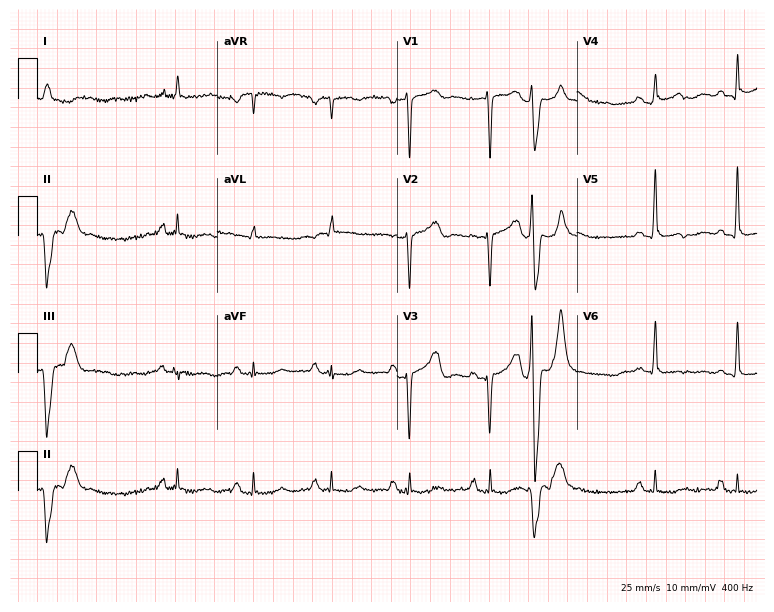
12-lead ECG from an 83-year-old man. Screened for six findings — first-degree AV block, right bundle branch block, left bundle branch block, sinus bradycardia, atrial fibrillation, sinus tachycardia — none is recorded. Only these six findings were labelled.